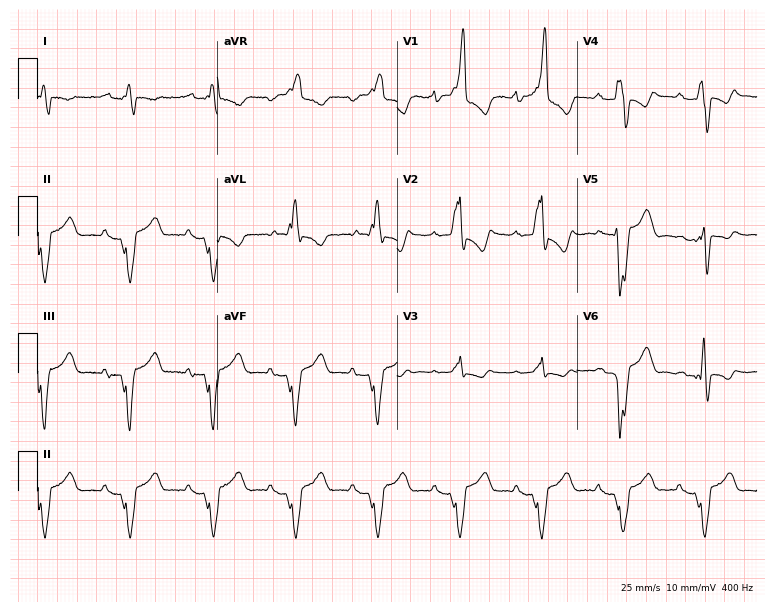
12-lead ECG from a male, 61 years old. Shows right bundle branch block (RBBB).